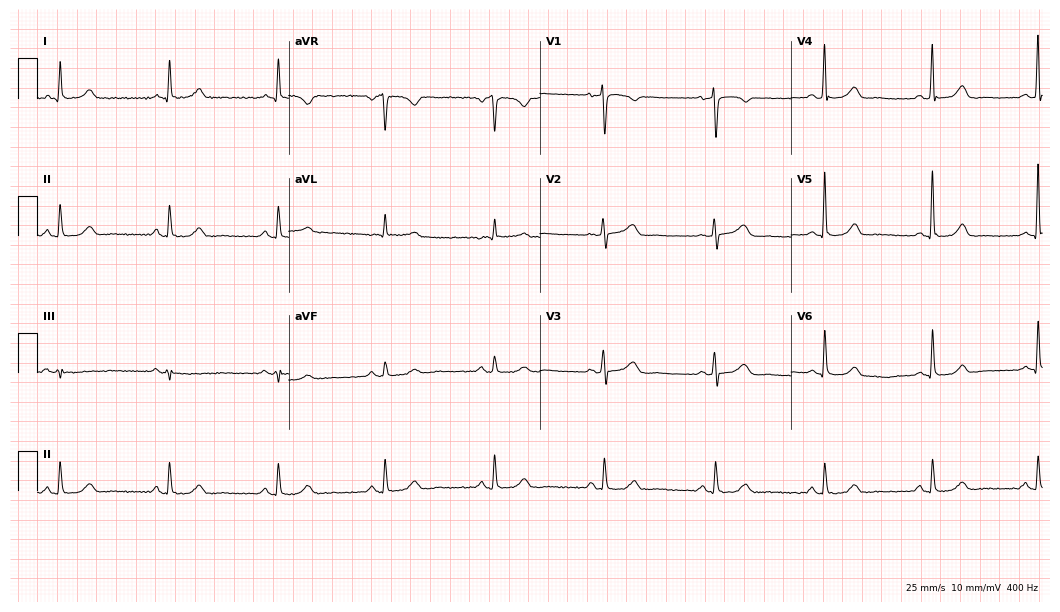
Standard 12-lead ECG recorded from a female, 72 years old. None of these six findings is recorded: first-degree AV block, right bundle branch block, left bundle branch block, sinus bradycardia, atrial fibrillation, sinus tachycardia.